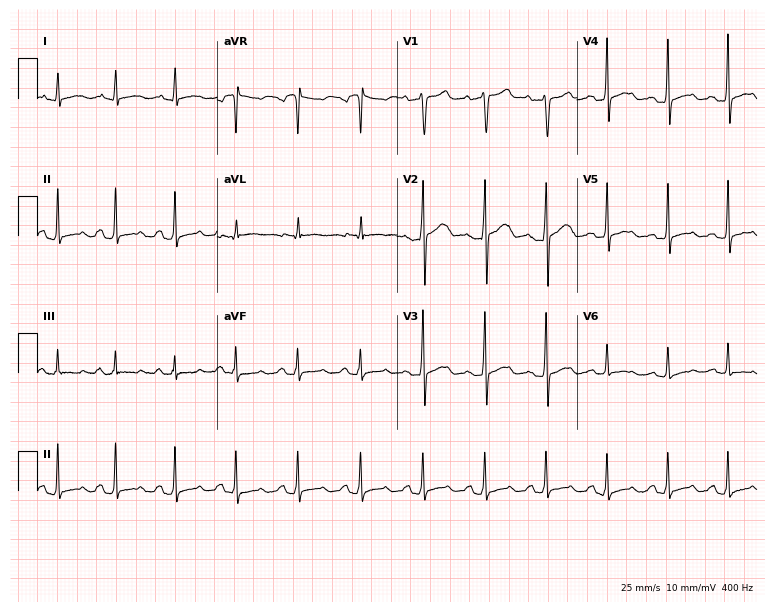
Electrocardiogram, a male, 37 years old. Of the six screened findings (first-degree AV block, right bundle branch block (RBBB), left bundle branch block (LBBB), sinus bradycardia, atrial fibrillation (AF), sinus tachycardia), none is recorded.